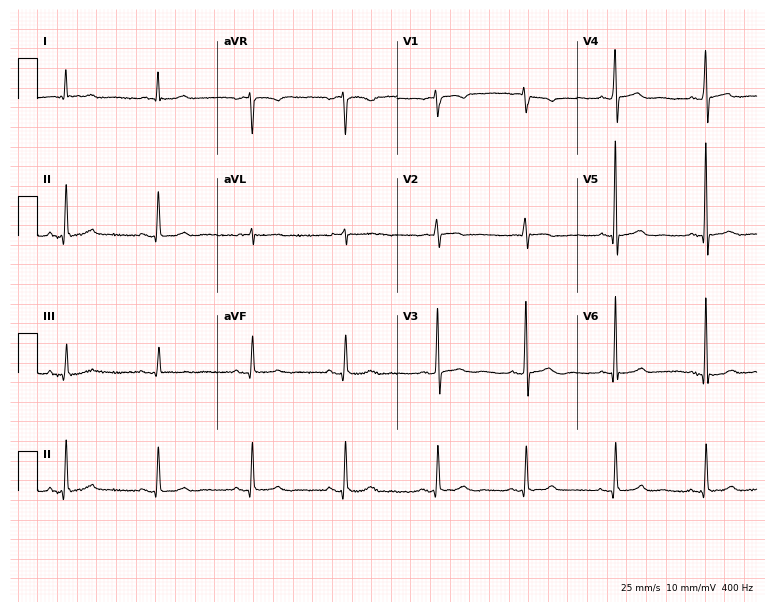
Resting 12-lead electrocardiogram. Patient: a female, 82 years old. None of these six findings is recorded: first-degree AV block, right bundle branch block, left bundle branch block, sinus bradycardia, atrial fibrillation, sinus tachycardia.